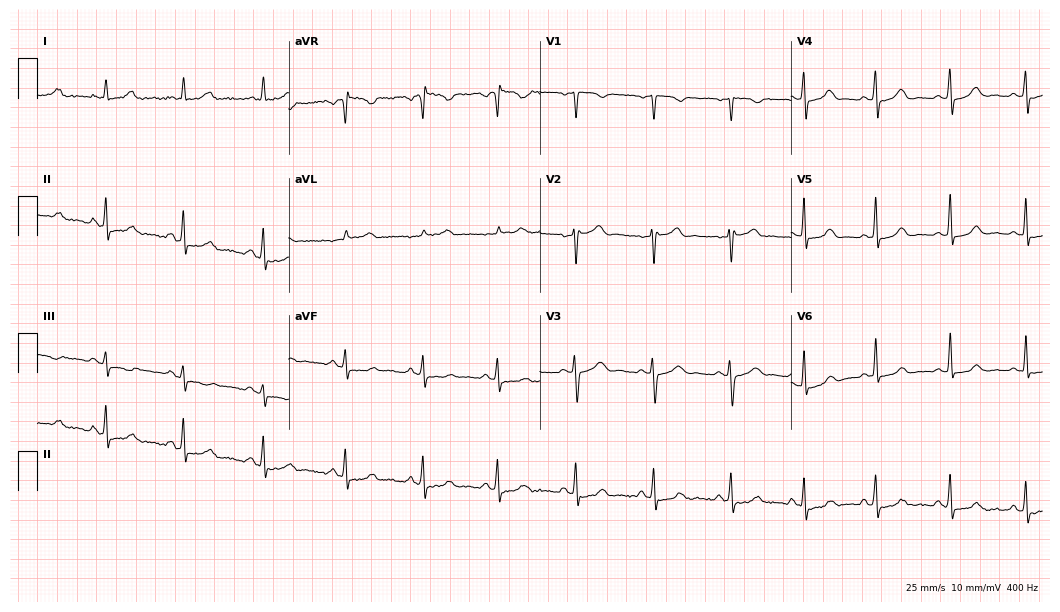
12-lead ECG from a 31-year-old female patient. No first-degree AV block, right bundle branch block, left bundle branch block, sinus bradycardia, atrial fibrillation or sinus tachycardia recorded for this tracing. Other findings, if any, are not listed.